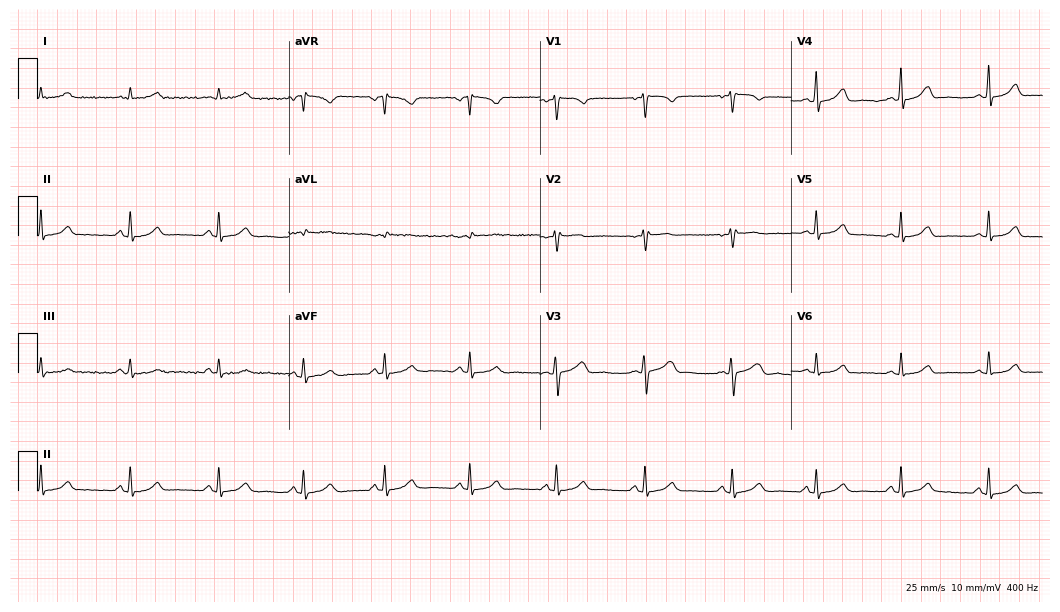
Standard 12-lead ECG recorded from a female patient, 37 years old (10.2-second recording at 400 Hz). None of these six findings is recorded: first-degree AV block, right bundle branch block (RBBB), left bundle branch block (LBBB), sinus bradycardia, atrial fibrillation (AF), sinus tachycardia. Findings outside these six are not listed.